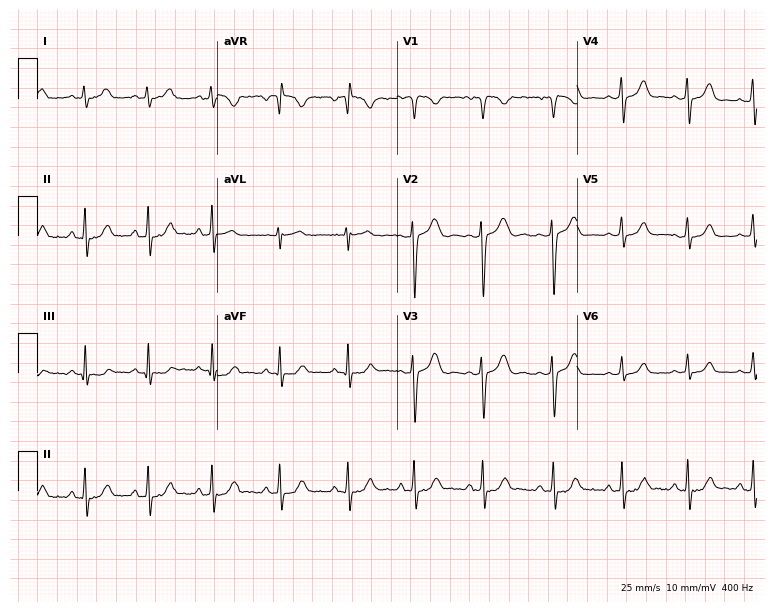
Resting 12-lead electrocardiogram (7.3-second recording at 400 Hz). Patient: a female, 27 years old. None of these six findings is recorded: first-degree AV block, right bundle branch block (RBBB), left bundle branch block (LBBB), sinus bradycardia, atrial fibrillation (AF), sinus tachycardia.